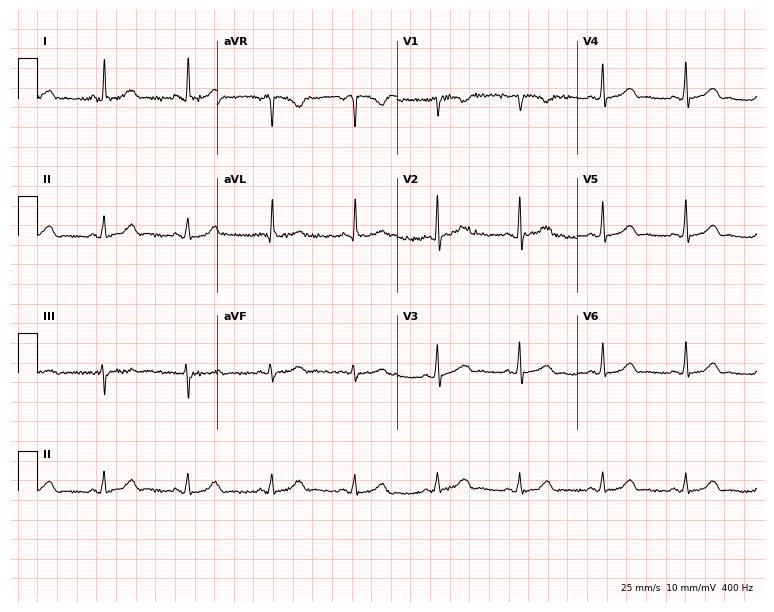
ECG — a 52-year-old female patient. Labelled as a normal ECG.